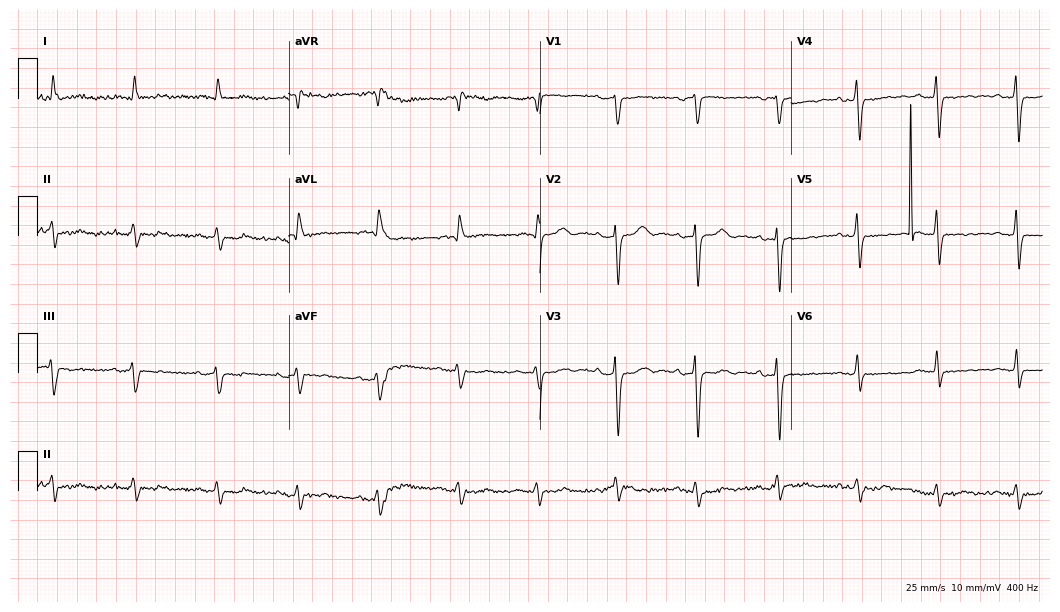
Standard 12-lead ECG recorded from a 73-year-old female patient. None of these six findings is recorded: first-degree AV block, right bundle branch block, left bundle branch block, sinus bradycardia, atrial fibrillation, sinus tachycardia.